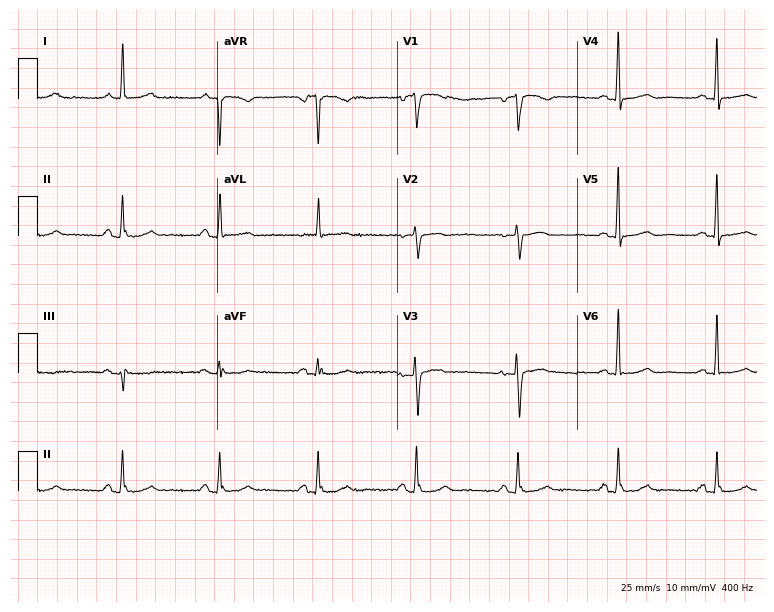
Resting 12-lead electrocardiogram (7.3-second recording at 400 Hz). Patient: a 72-year-old woman. None of these six findings is recorded: first-degree AV block, right bundle branch block, left bundle branch block, sinus bradycardia, atrial fibrillation, sinus tachycardia. Findings outside these six are not listed.